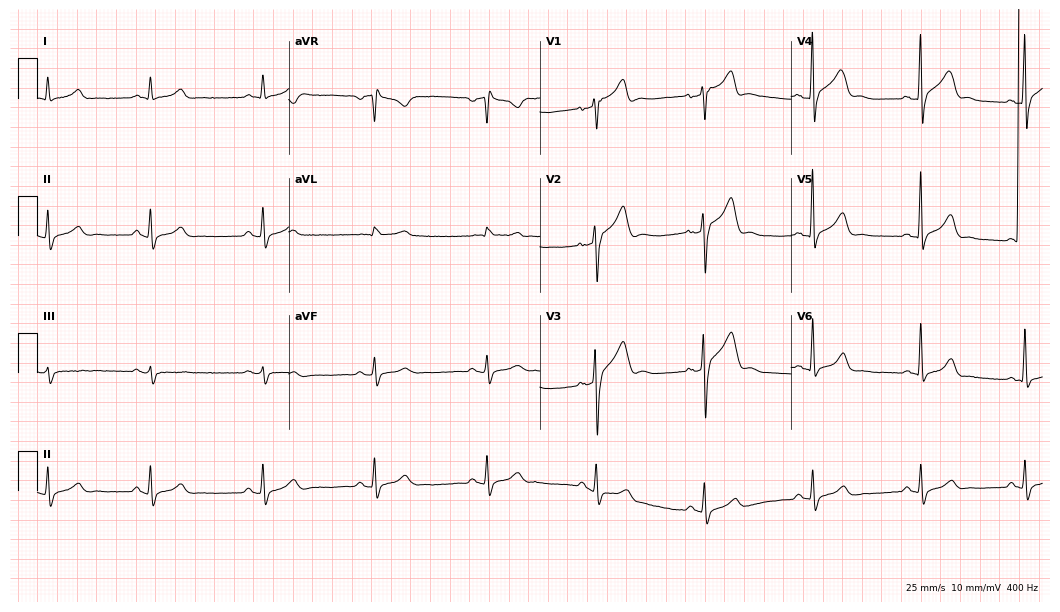
ECG — a 47-year-old male. Labelled as a normal ECG.